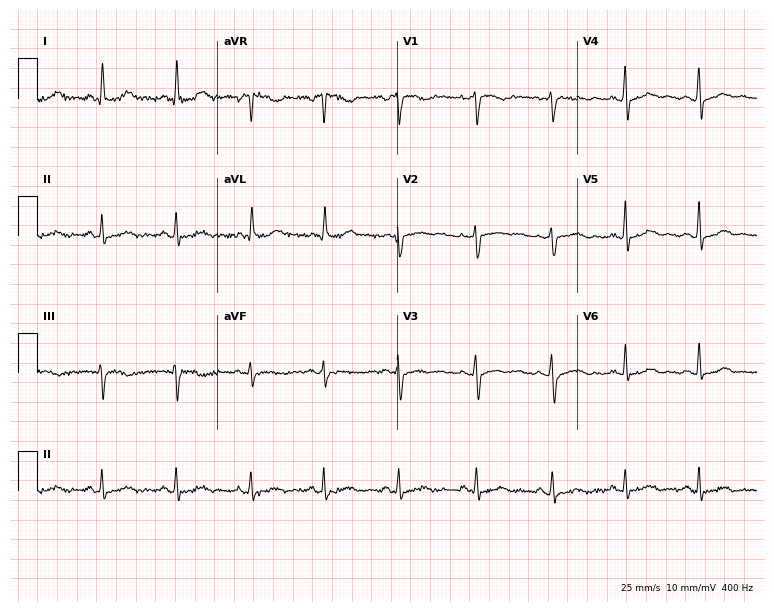
ECG — a 41-year-old woman. Labelled as a normal ECG.